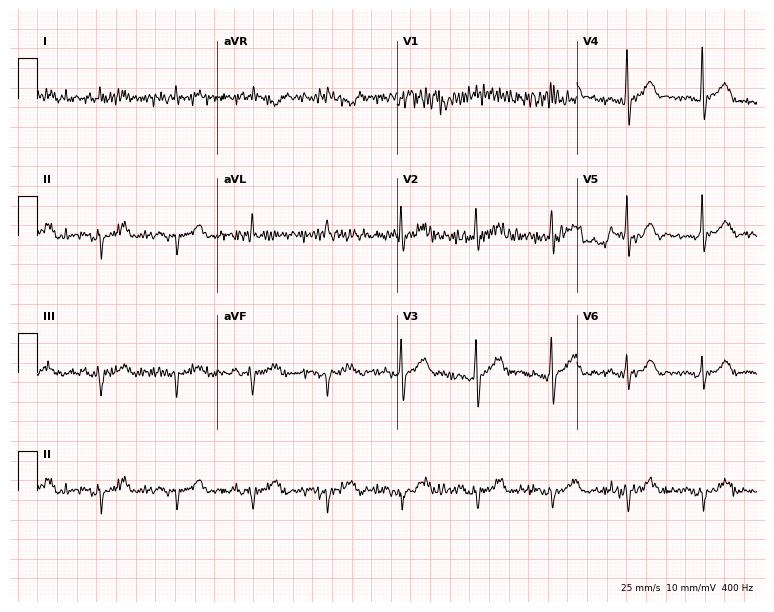
Electrocardiogram (7.3-second recording at 400 Hz), a male, 79 years old. Of the six screened findings (first-degree AV block, right bundle branch block (RBBB), left bundle branch block (LBBB), sinus bradycardia, atrial fibrillation (AF), sinus tachycardia), none is recorded. Findings outside these six are not listed.